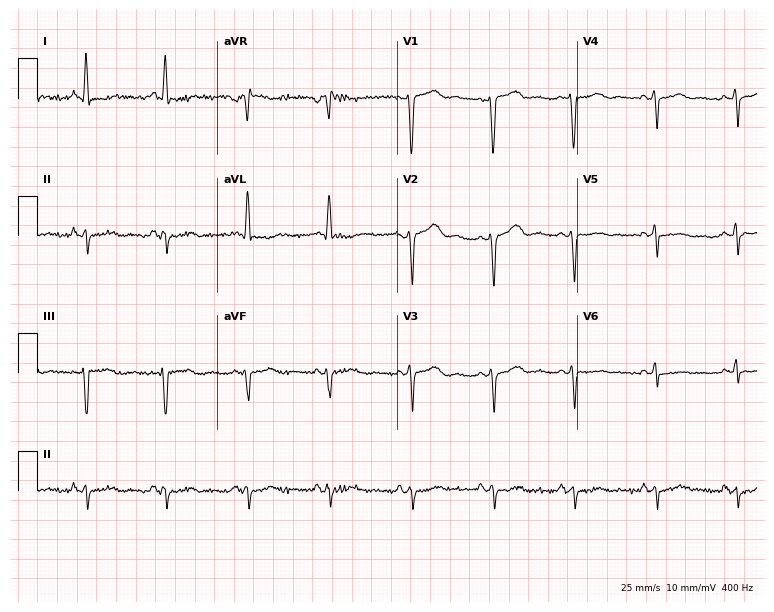
Electrocardiogram, a 41-year-old female. Of the six screened findings (first-degree AV block, right bundle branch block, left bundle branch block, sinus bradycardia, atrial fibrillation, sinus tachycardia), none is recorded.